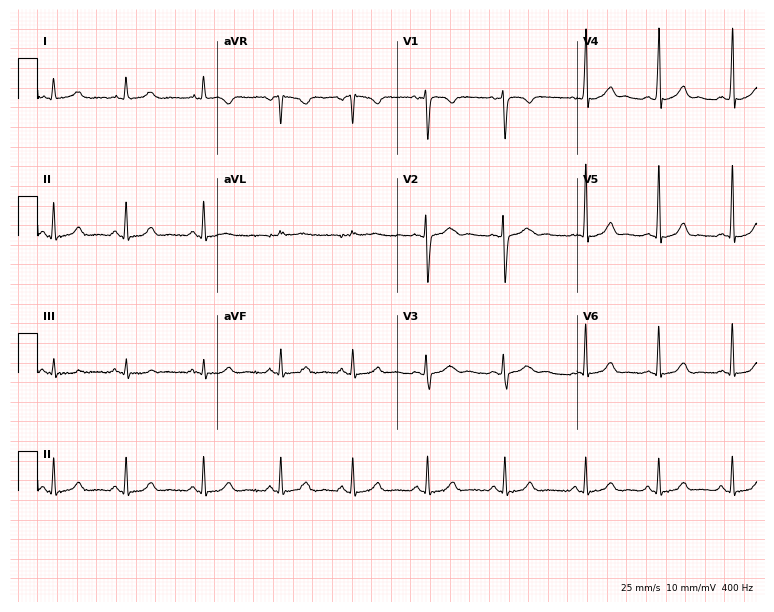
12-lead ECG (7.3-second recording at 400 Hz) from a female, 24 years old. Labelled as a normal ECG.